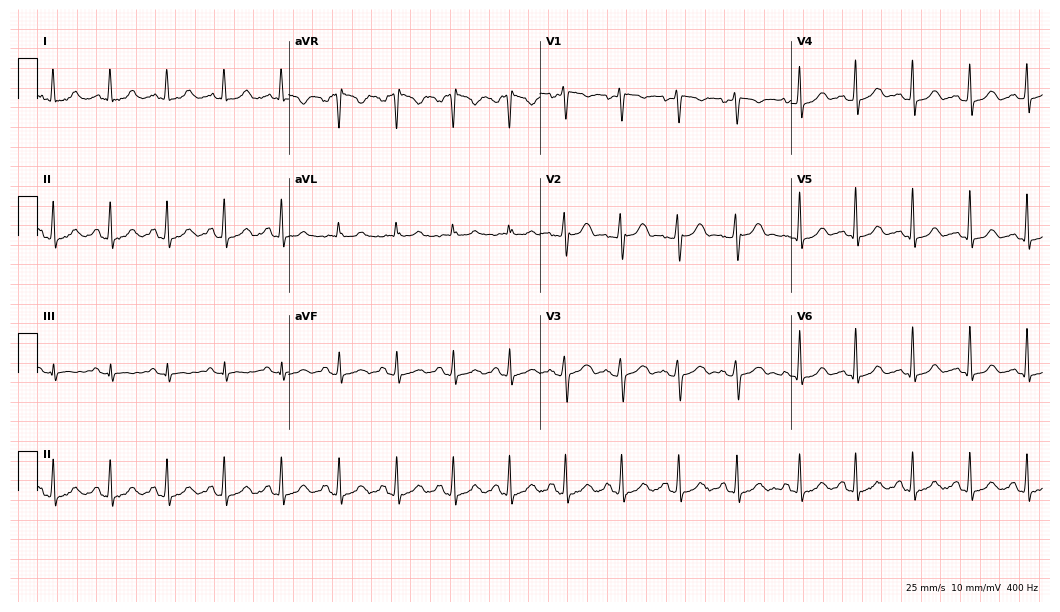
ECG (10.2-second recording at 400 Hz) — a 26-year-old female patient. Findings include sinus tachycardia (a sinus rate of 100 beats per minute or more).